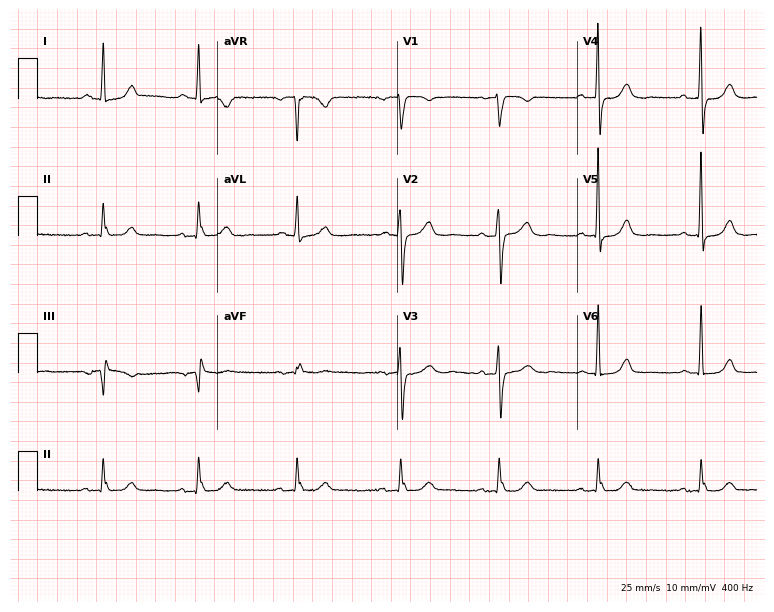
ECG — a 65-year-old female patient. Screened for six findings — first-degree AV block, right bundle branch block, left bundle branch block, sinus bradycardia, atrial fibrillation, sinus tachycardia — none is recorded.